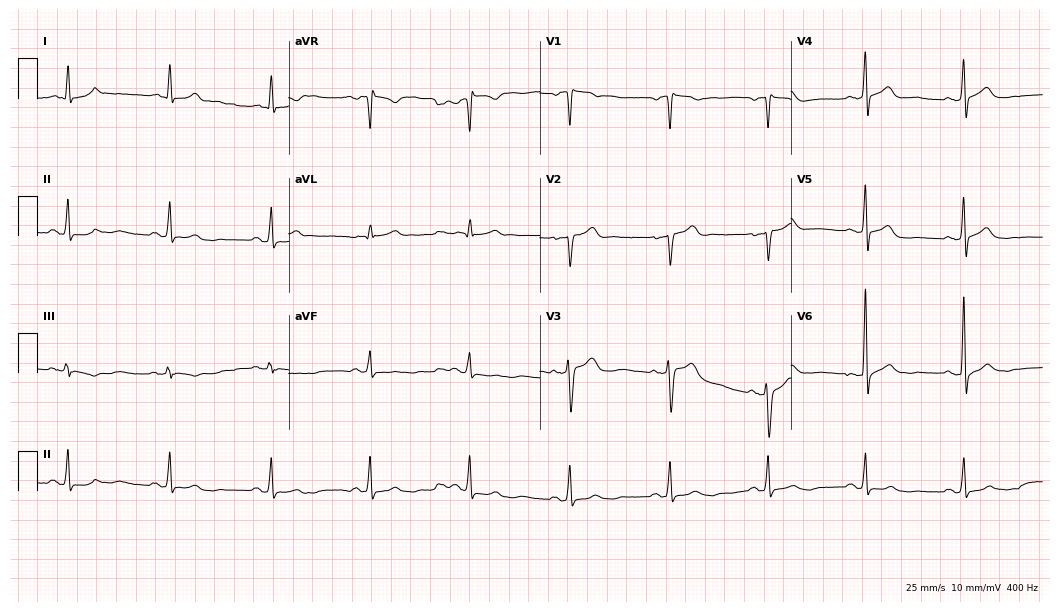
12-lead ECG from a 65-year-old male (10.2-second recording at 400 Hz). Recorded interpretation: within normal limits.